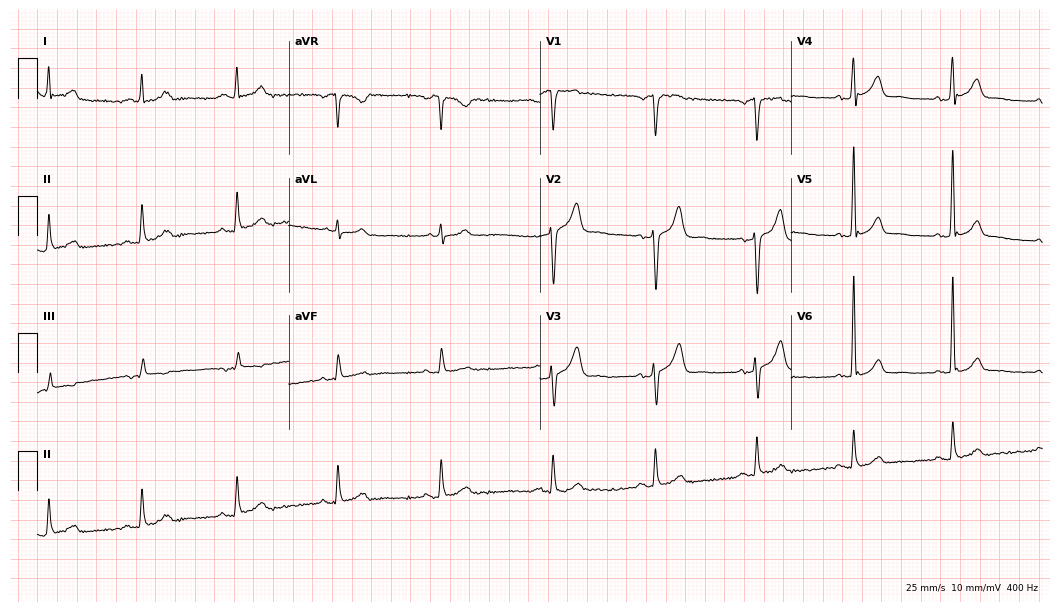
Standard 12-lead ECG recorded from a 48-year-old man (10.2-second recording at 400 Hz). None of these six findings is recorded: first-degree AV block, right bundle branch block, left bundle branch block, sinus bradycardia, atrial fibrillation, sinus tachycardia. Other findings, if any, are not listed.